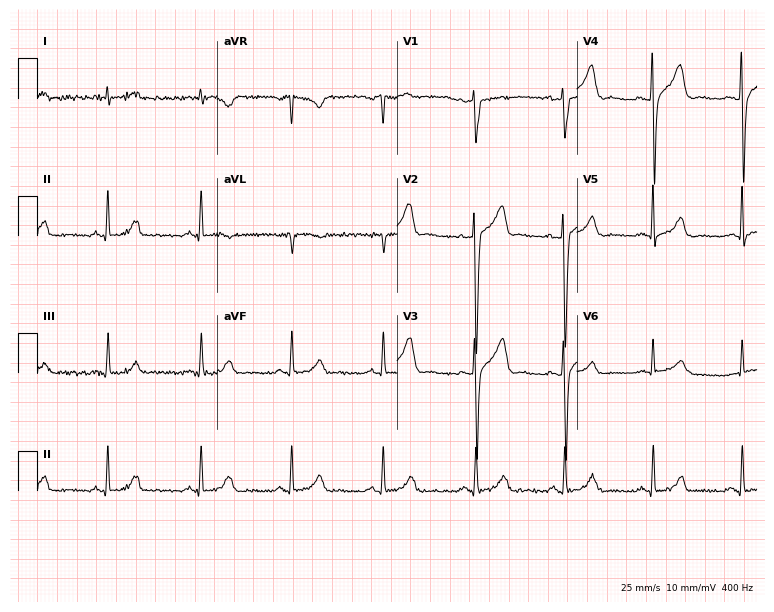
ECG (7.3-second recording at 400 Hz) — a 44-year-old man. Labelled as a normal ECG.